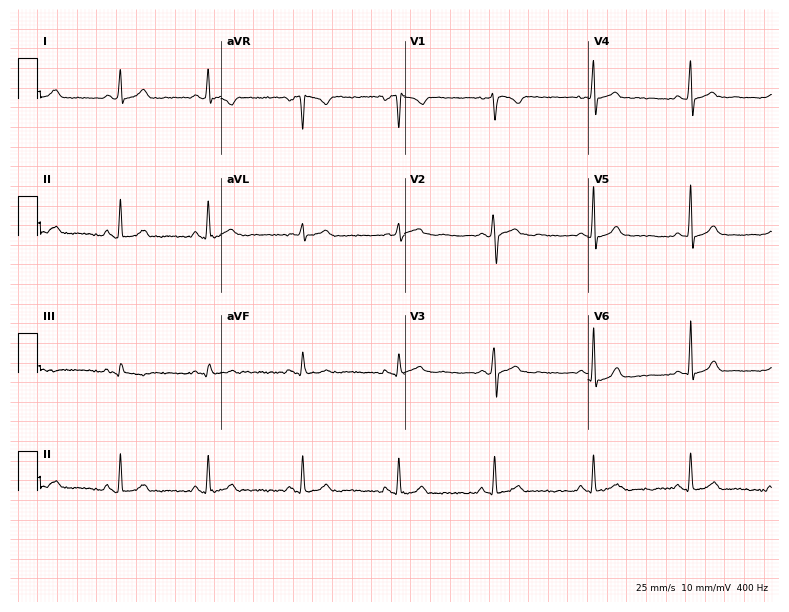
Electrocardiogram, a 19-year-old male. Overall reading on record: normal ECG.